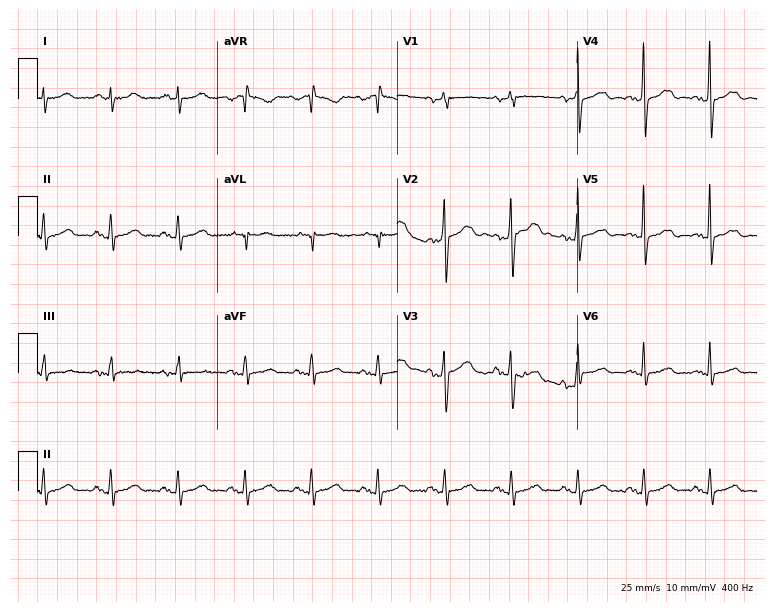
Resting 12-lead electrocardiogram (7.3-second recording at 400 Hz). Patient: a man, 59 years old. Read as a normal ECG.